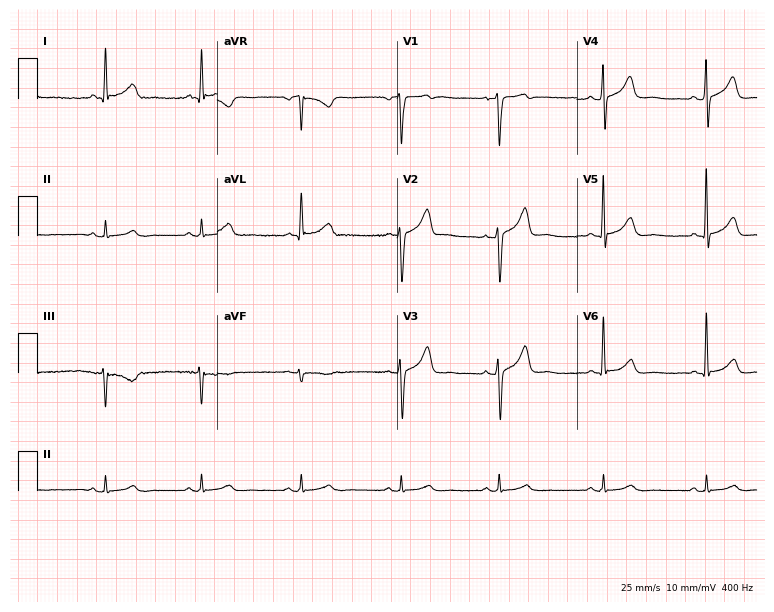
12-lead ECG from a man, 56 years old (7.3-second recording at 400 Hz). No first-degree AV block, right bundle branch block (RBBB), left bundle branch block (LBBB), sinus bradycardia, atrial fibrillation (AF) or sinus tachycardia recorded for this tracing.